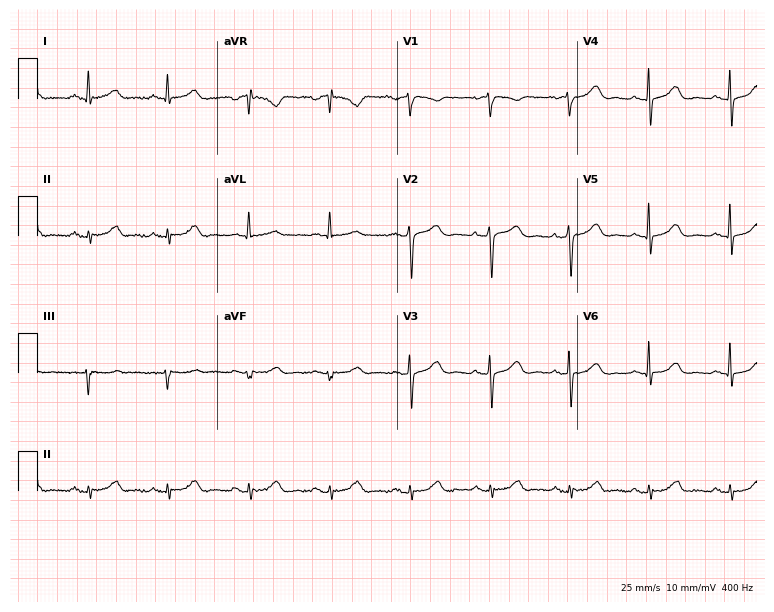
Standard 12-lead ECG recorded from a 68-year-old woman. Read as a normal ECG.